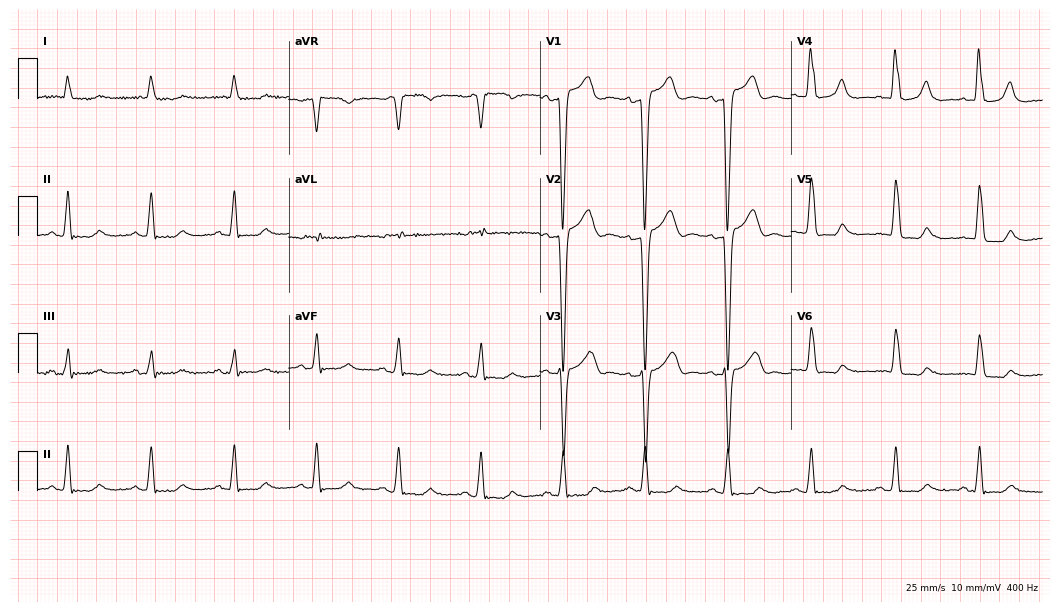
ECG (10.2-second recording at 400 Hz) — a woman, 83 years old. Screened for six findings — first-degree AV block, right bundle branch block (RBBB), left bundle branch block (LBBB), sinus bradycardia, atrial fibrillation (AF), sinus tachycardia — none is recorded.